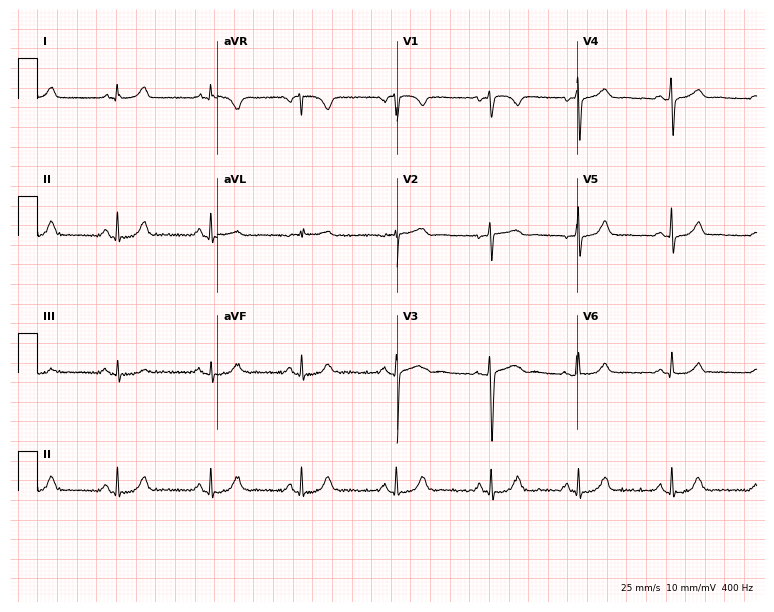
ECG — a 37-year-old female. Screened for six findings — first-degree AV block, right bundle branch block, left bundle branch block, sinus bradycardia, atrial fibrillation, sinus tachycardia — none is recorded. Findings outside these six are not listed.